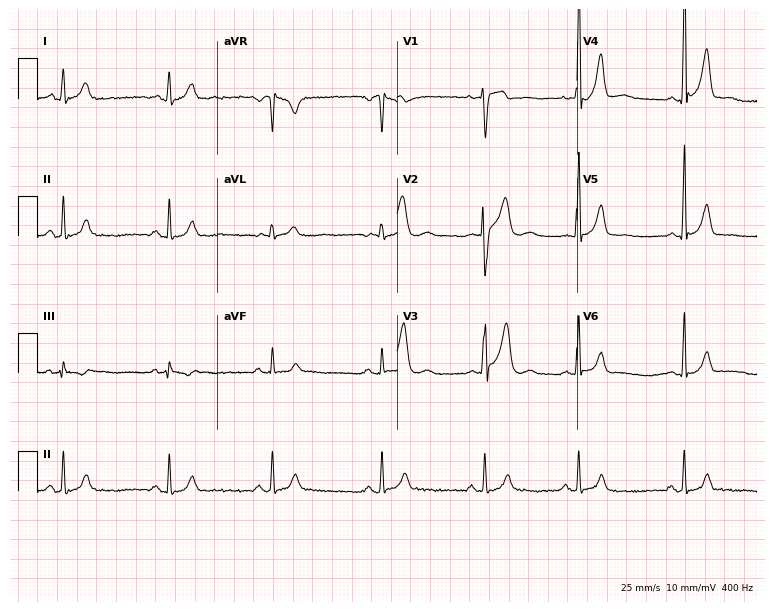
ECG — a 29-year-old male. Screened for six findings — first-degree AV block, right bundle branch block (RBBB), left bundle branch block (LBBB), sinus bradycardia, atrial fibrillation (AF), sinus tachycardia — none is recorded. Findings outside these six are not listed.